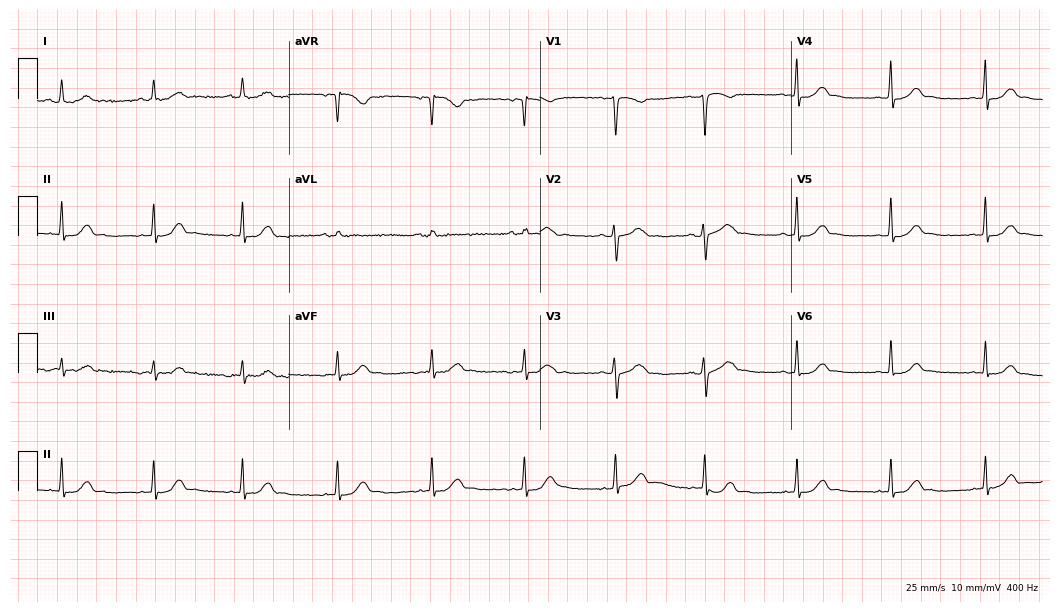
12-lead ECG (10.2-second recording at 400 Hz) from a 36-year-old female. Labelled as a normal ECG.